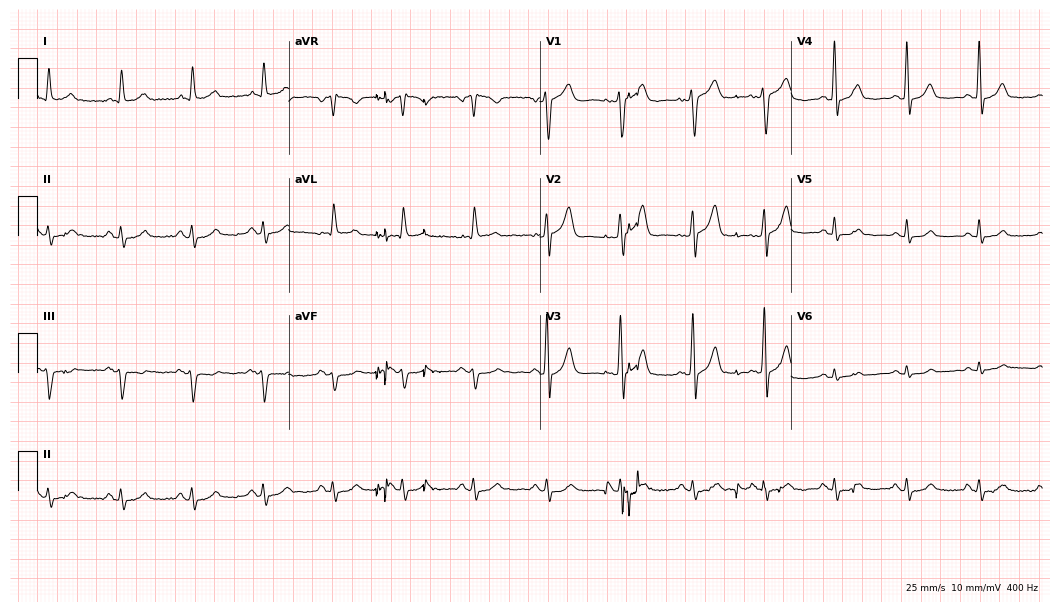
12-lead ECG (10.2-second recording at 400 Hz) from a 72-year-old male. Labelled as a normal ECG.